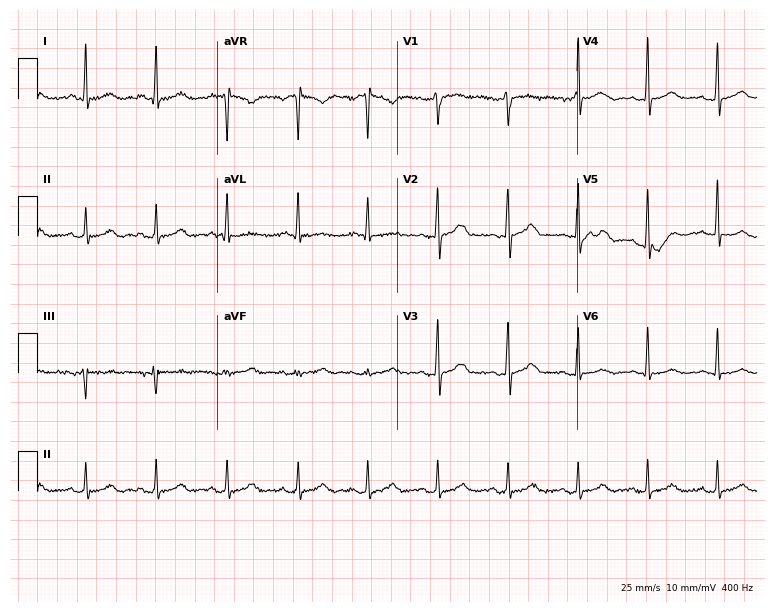
Standard 12-lead ECG recorded from a female patient, 67 years old. Read as a normal ECG.